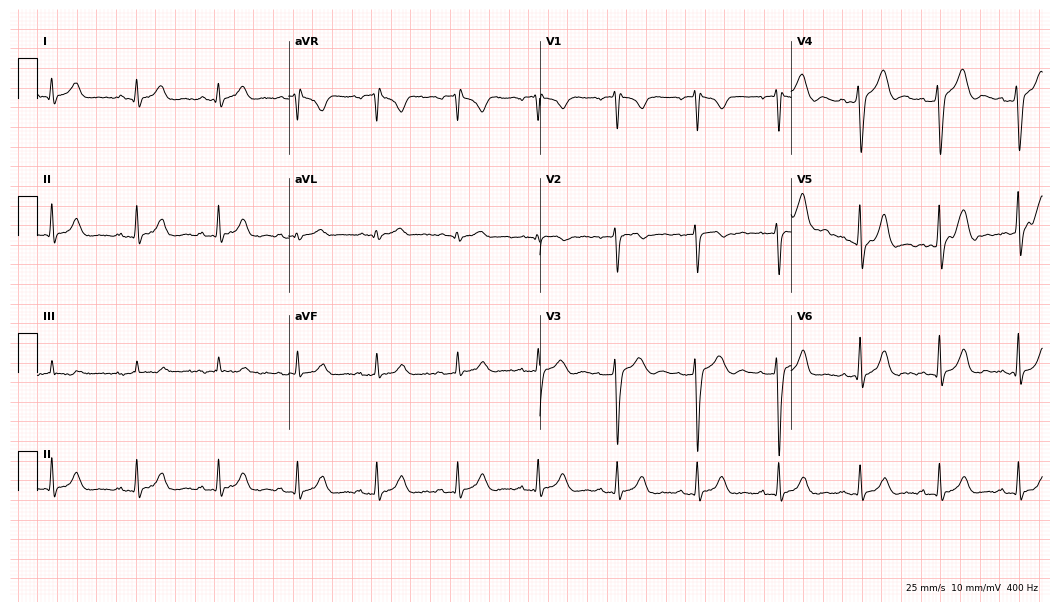
12-lead ECG from a man, 50 years old (10.2-second recording at 400 Hz). No first-degree AV block, right bundle branch block (RBBB), left bundle branch block (LBBB), sinus bradycardia, atrial fibrillation (AF) or sinus tachycardia recorded for this tracing. Only these six findings were labelled.